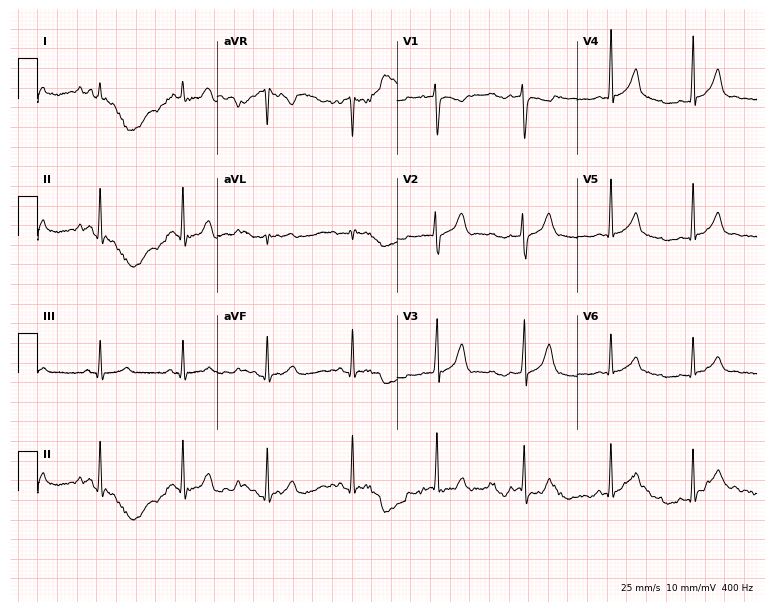
12-lead ECG from a 43-year-old male. No first-degree AV block, right bundle branch block (RBBB), left bundle branch block (LBBB), sinus bradycardia, atrial fibrillation (AF) or sinus tachycardia recorded for this tracing. Findings outside these six are not listed.